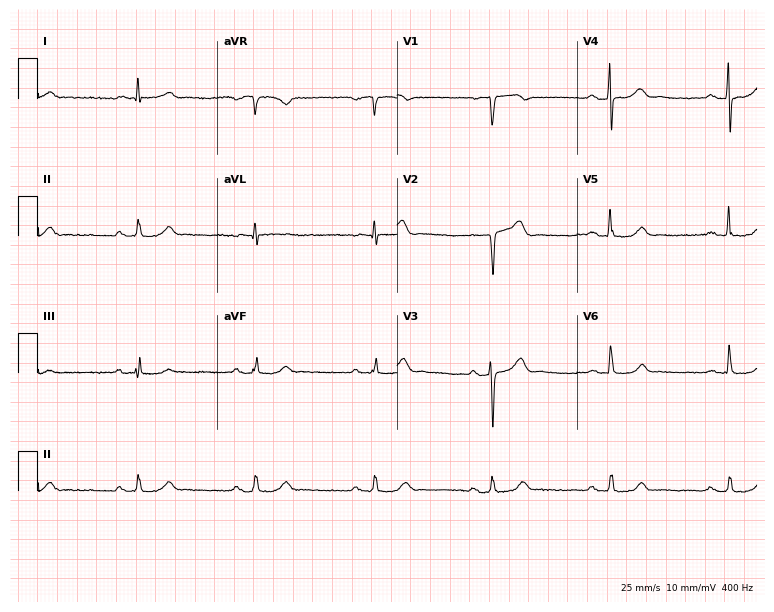
12-lead ECG from a 72-year-old man. No first-degree AV block, right bundle branch block (RBBB), left bundle branch block (LBBB), sinus bradycardia, atrial fibrillation (AF) or sinus tachycardia recorded for this tracing.